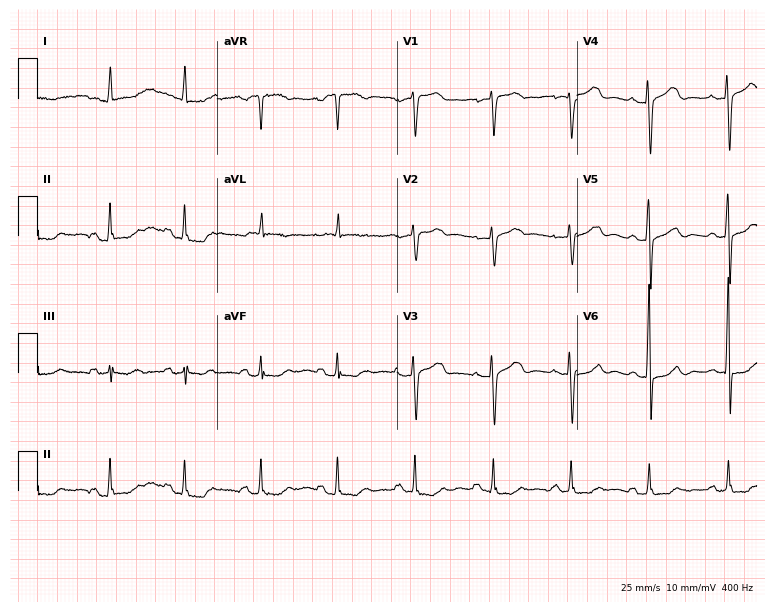
Electrocardiogram (7.3-second recording at 400 Hz), a female, 76 years old. Overall reading on record: normal ECG.